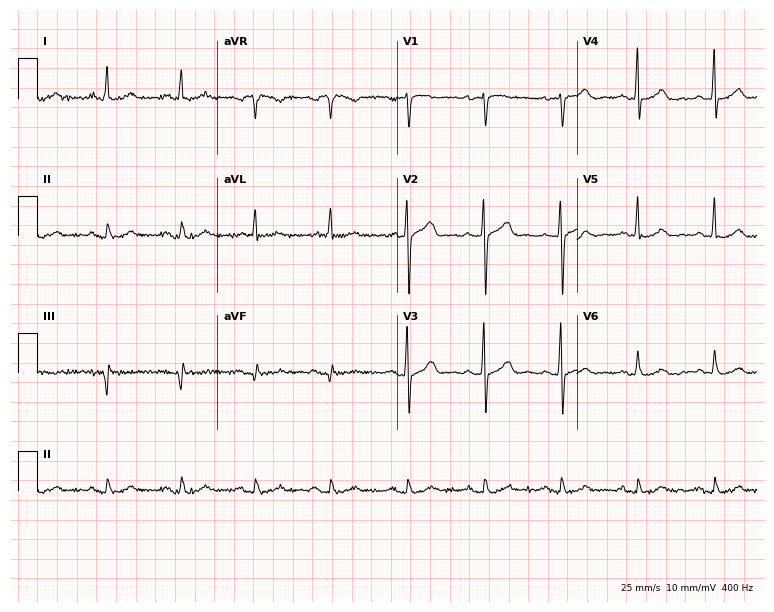
Standard 12-lead ECG recorded from a male, 73 years old (7.3-second recording at 400 Hz). None of these six findings is recorded: first-degree AV block, right bundle branch block, left bundle branch block, sinus bradycardia, atrial fibrillation, sinus tachycardia.